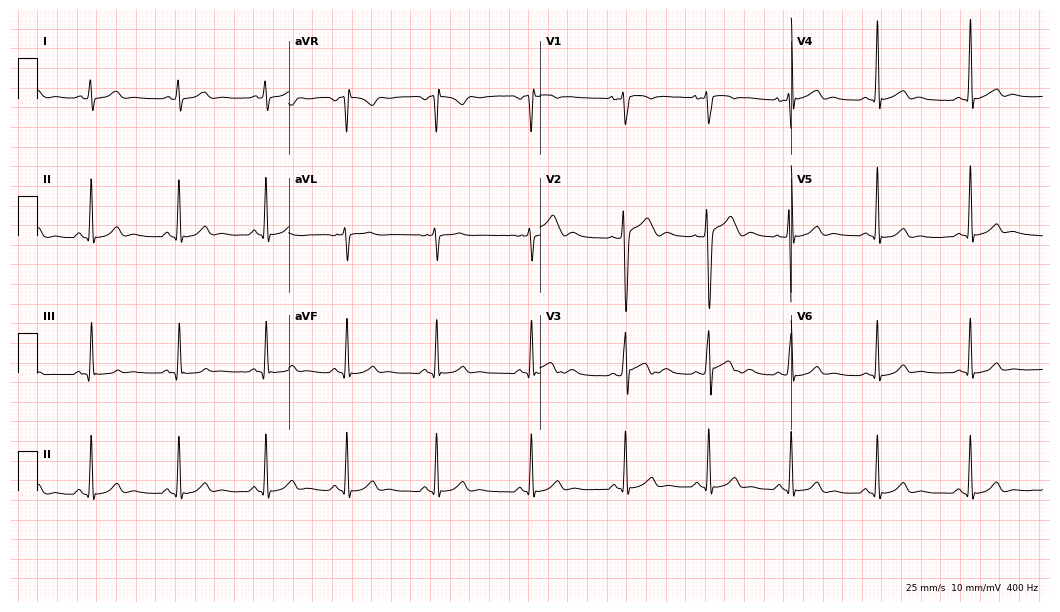
Resting 12-lead electrocardiogram (10.2-second recording at 400 Hz). Patient: a man, 22 years old. None of these six findings is recorded: first-degree AV block, right bundle branch block, left bundle branch block, sinus bradycardia, atrial fibrillation, sinus tachycardia.